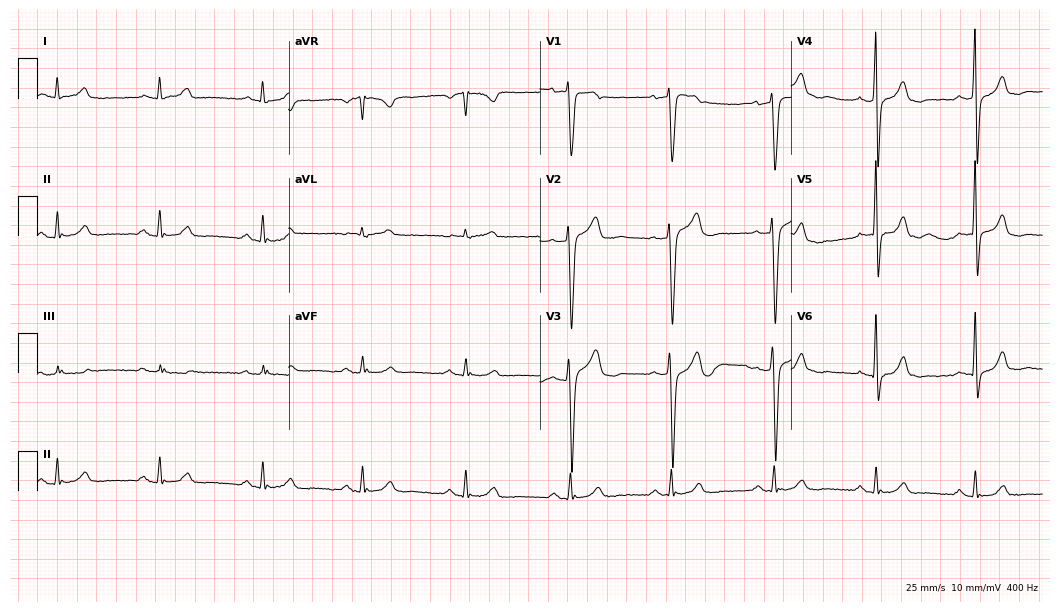
12-lead ECG from a male patient, 45 years old. Screened for six findings — first-degree AV block, right bundle branch block, left bundle branch block, sinus bradycardia, atrial fibrillation, sinus tachycardia — none is recorded. Findings outside these six are not listed.